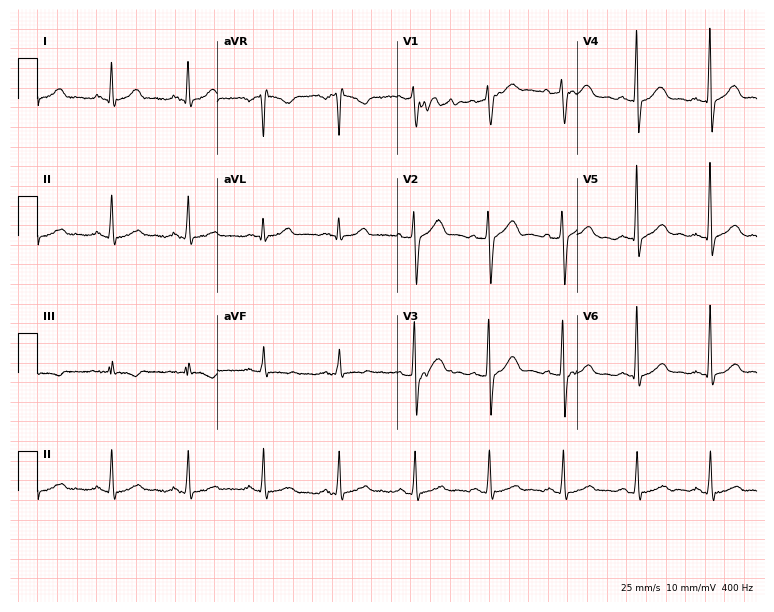
12-lead ECG from a male patient, 42 years old. Labelled as a normal ECG.